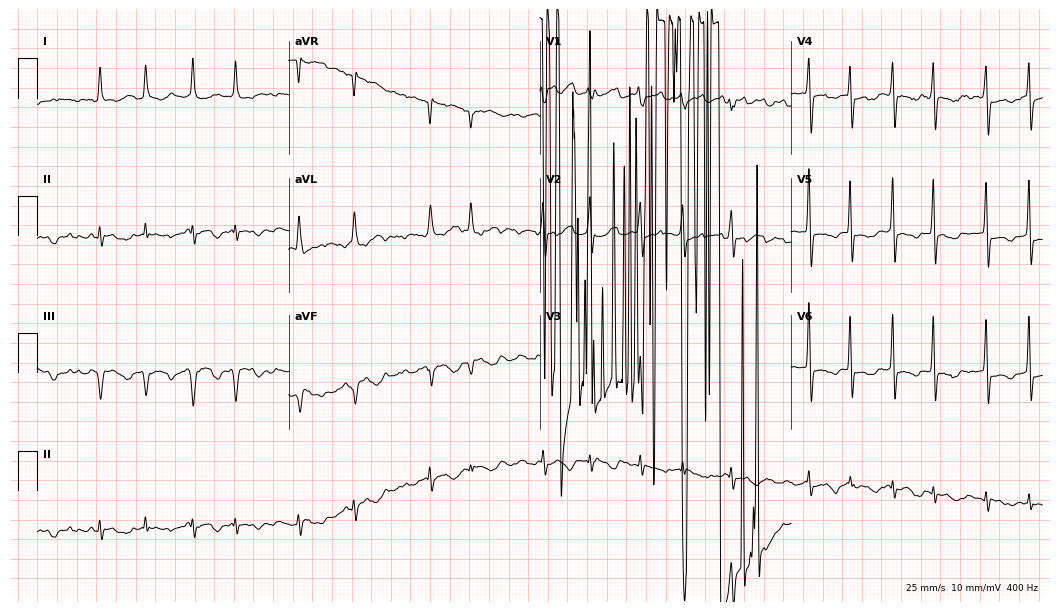
12-lead ECG from a female, 70 years old. Findings include atrial fibrillation.